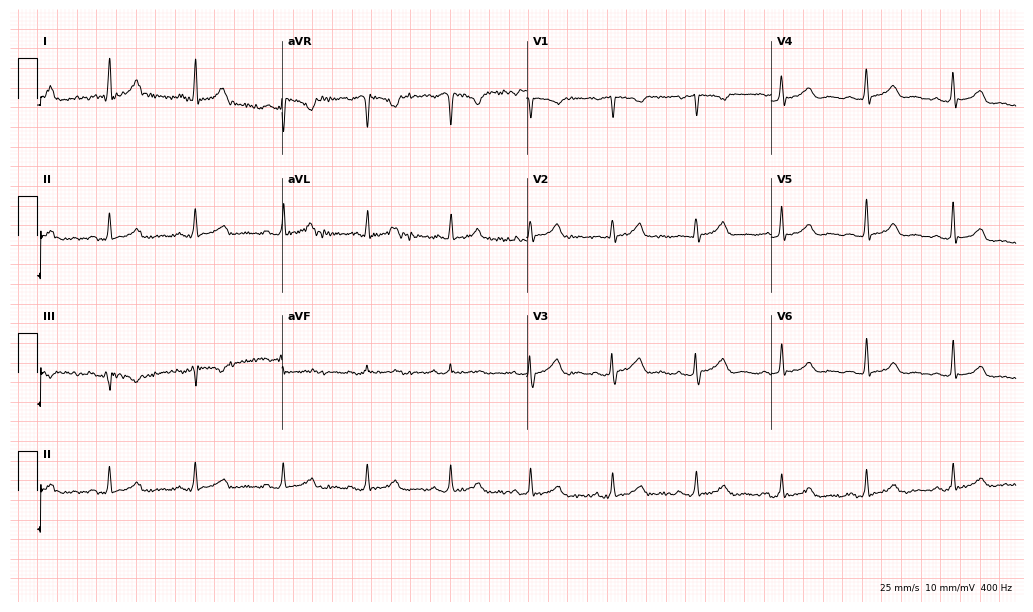
12-lead ECG from a 48-year-old female patient (10-second recording at 400 Hz). Recorded interpretation: within normal limits.